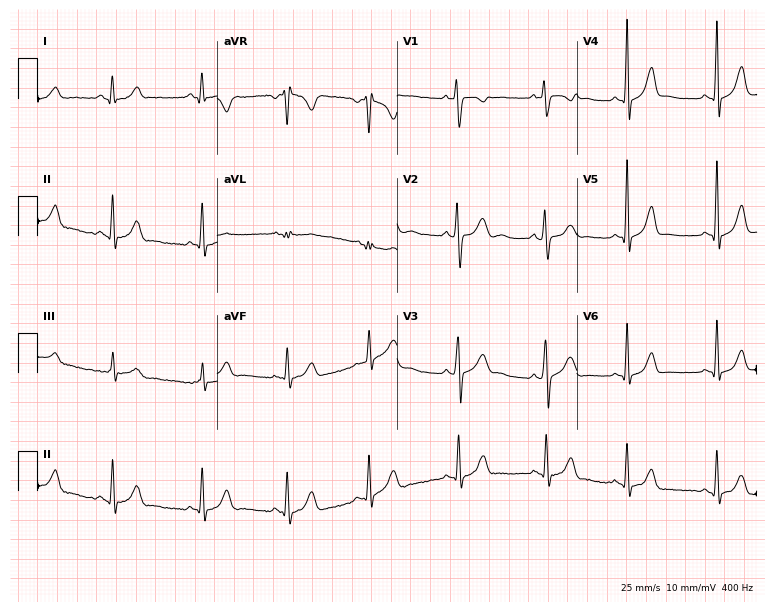
Standard 12-lead ECG recorded from a 19-year-old woman. None of these six findings is recorded: first-degree AV block, right bundle branch block, left bundle branch block, sinus bradycardia, atrial fibrillation, sinus tachycardia. Findings outside these six are not listed.